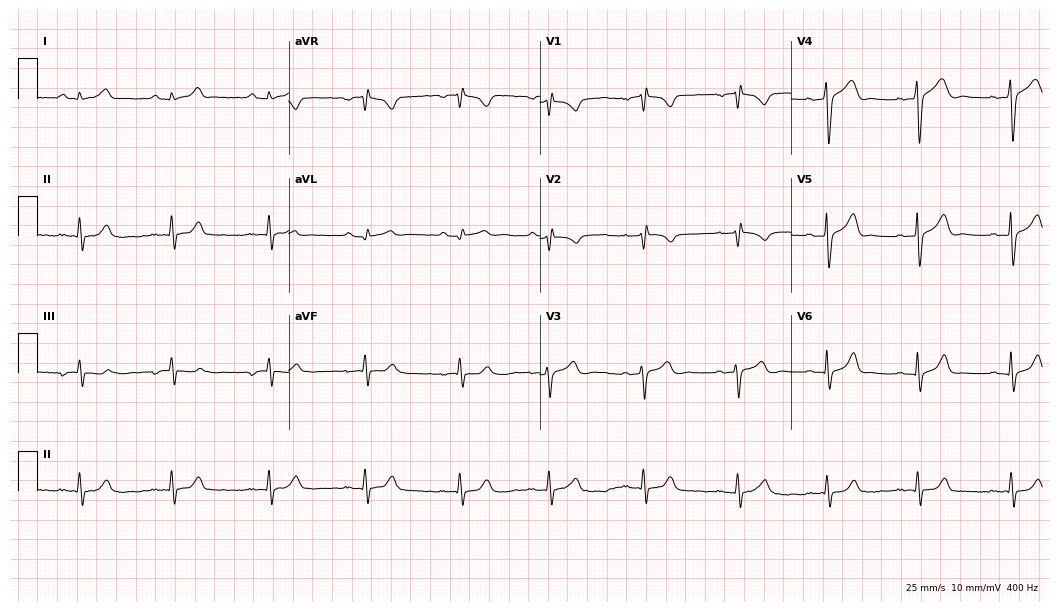
12-lead ECG from a 34-year-old woman. Screened for six findings — first-degree AV block, right bundle branch block, left bundle branch block, sinus bradycardia, atrial fibrillation, sinus tachycardia — none is recorded.